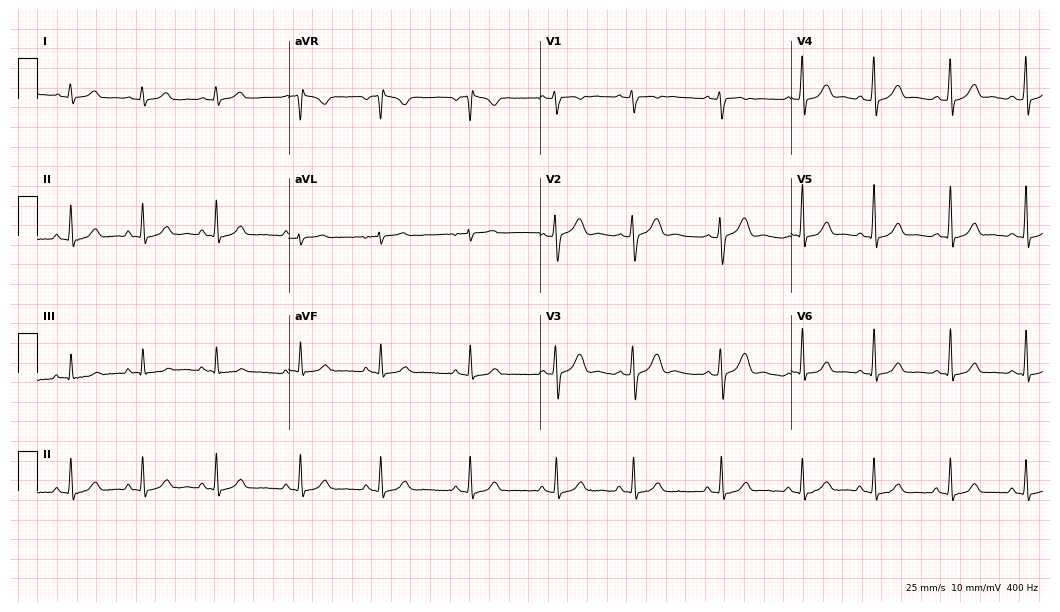
ECG (10.2-second recording at 400 Hz) — a woman, 18 years old. Screened for six findings — first-degree AV block, right bundle branch block (RBBB), left bundle branch block (LBBB), sinus bradycardia, atrial fibrillation (AF), sinus tachycardia — none is recorded. Only these six findings were labelled.